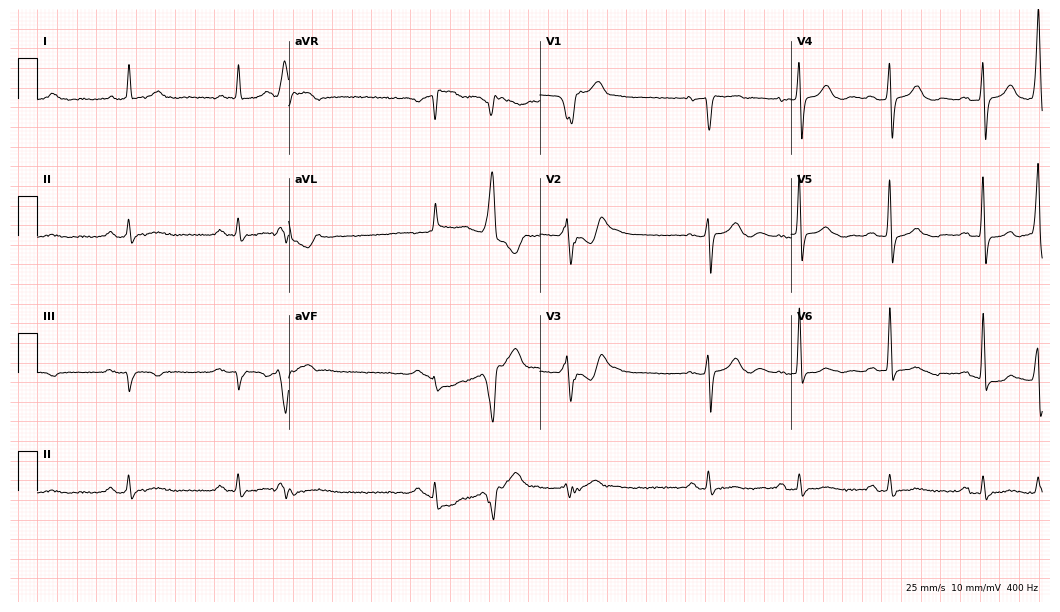
Electrocardiogram, an 82-year-old male. Of the six screened findings (first-degree AV block, right bundle branch block, left bundle branch block, sinus bradycardia, atrial fibrillation, sinus tachycardia), none is recorded.